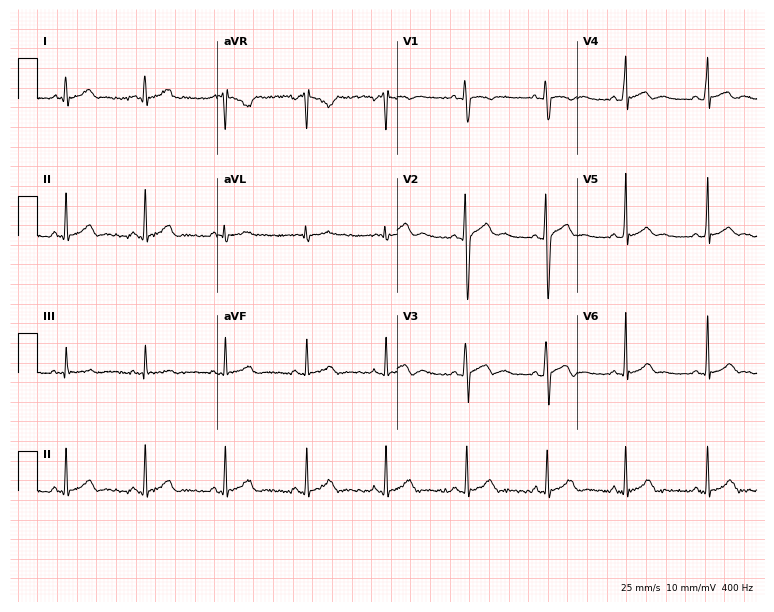
12-lead ECG from a male patient, 21 years old. Recorded interpretation: within normal limits.